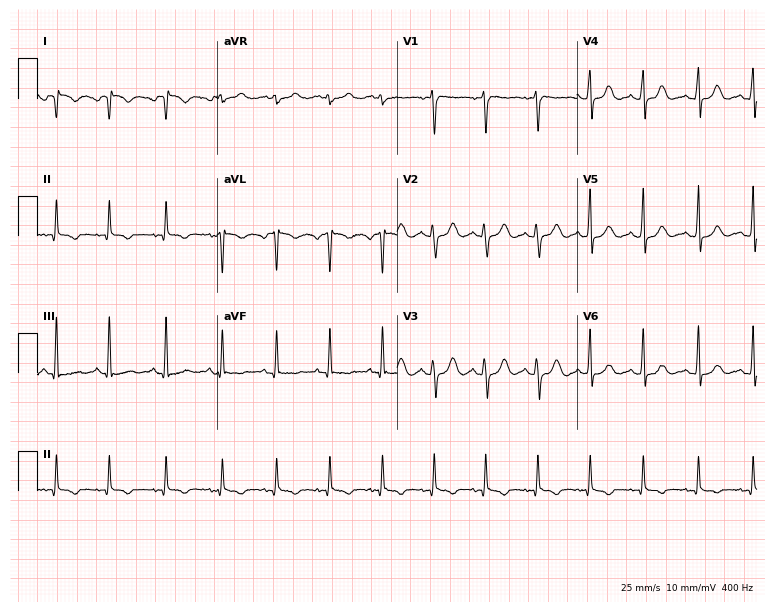
12-lead ECG from a woman, 18 years old. Screened for six findings — first-degree AV block, right bundle branch block, left bundle branch block, sinus bradycardia, atrial fibrillation, sinus tachycardia — none is recorded.